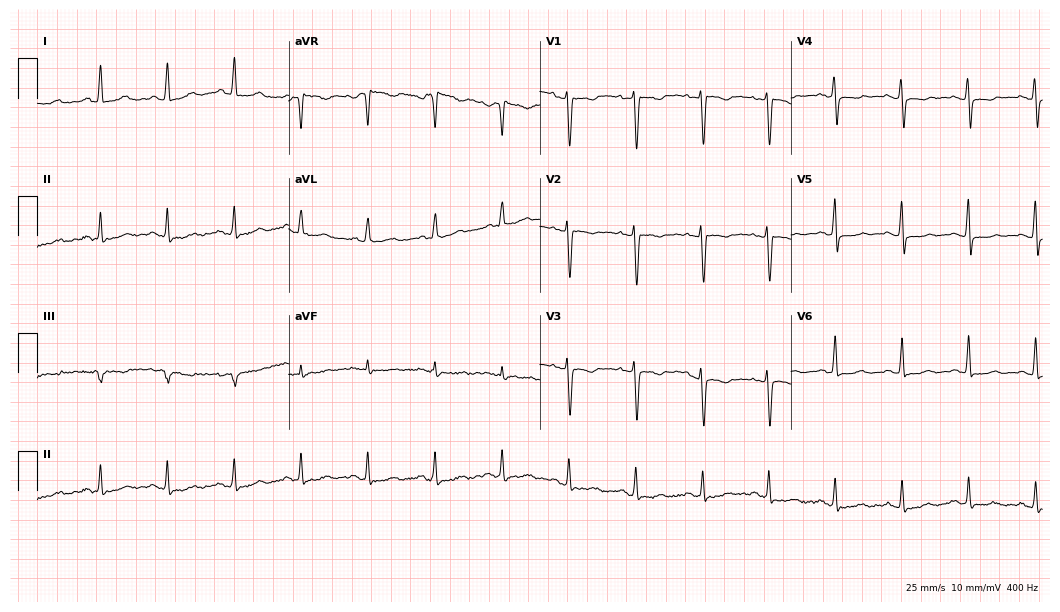
Standard 12-lead ECG recorded from a male patient, 37 years old. None of these six findings is recorded: first-degree AV block, right bundle branch block, left bundle branch block, sinus bradycardia, atrial fibrillation, sinus tachycardia. Only these six findings were labelled.